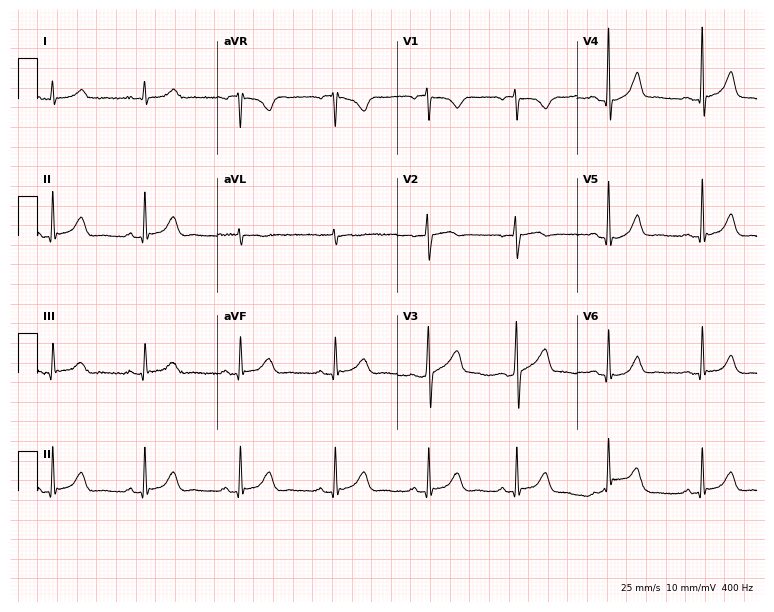
12-lead ECG from a 41-year-old man. Labelled as a normal ECG.